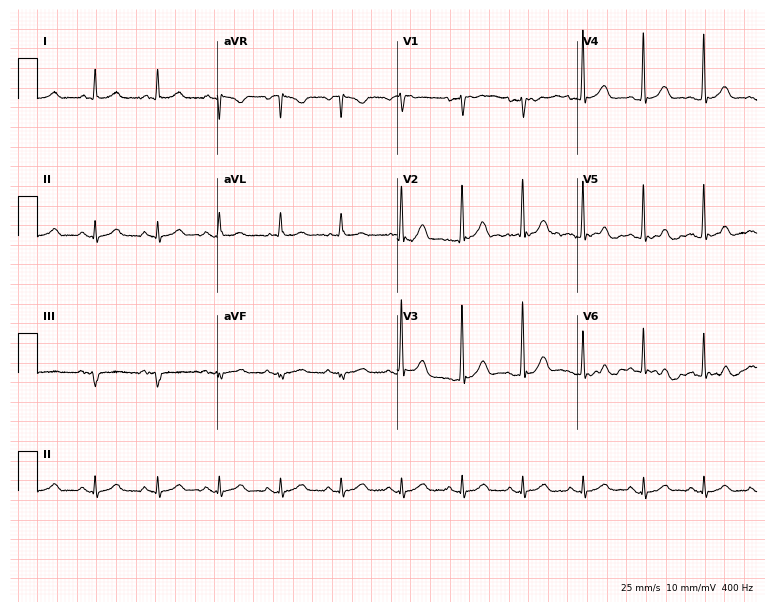
12-lead ECG from a man, 78 years old. Screened for six findings — first-degree AV block, right bundle branch block, left bundle branch block, sinus bradycardia, atrial fibrillation, sinus tachycardia — none is recorded. Other findings, if any, are not listed.